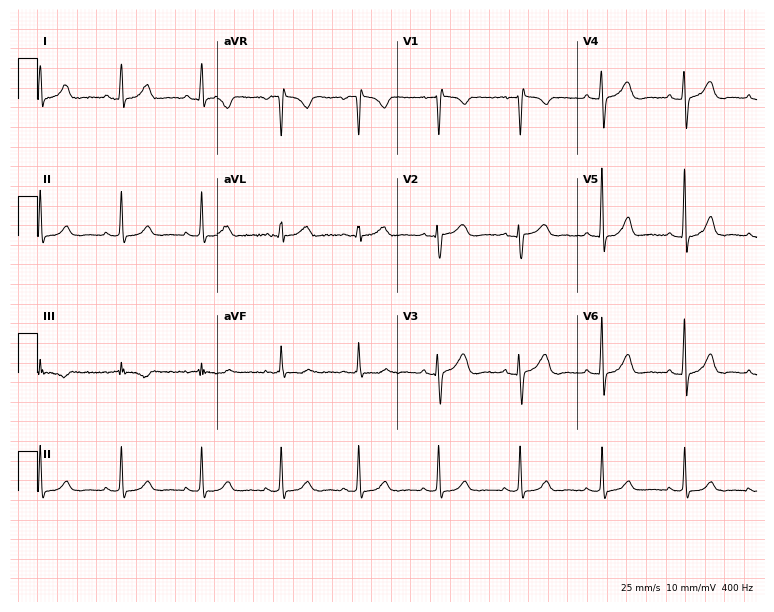
ECG (7.3-second recording at 400 Hz) — a 40-year-old female patient. Labelled as a normal ECG.